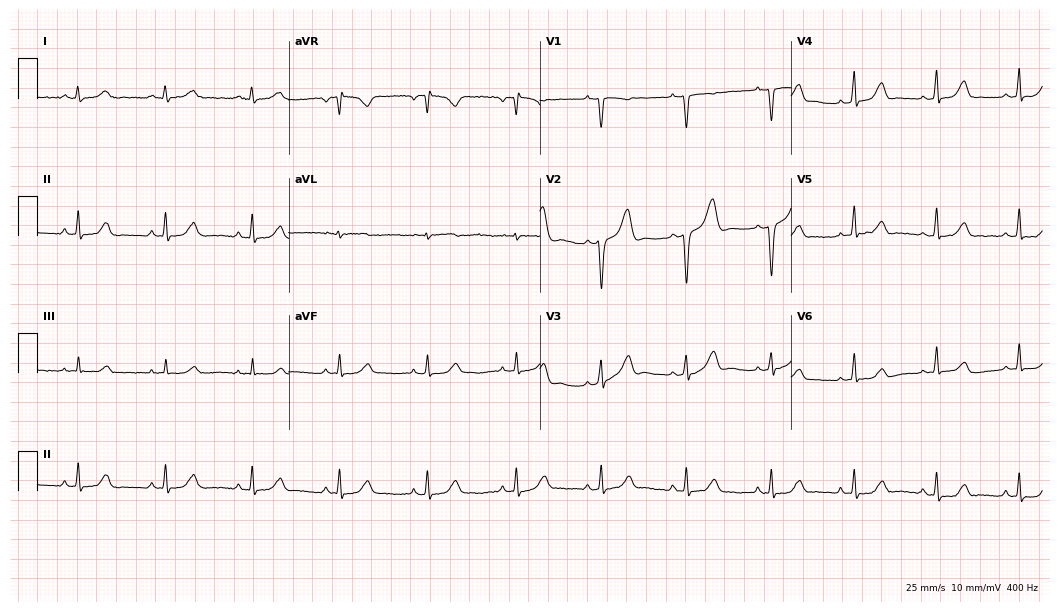
Standard 12-lead ECG recorded from a woman, 37 years old. None of these six findings is recorded: first-degree AV block, right bundle branch block, left bundle branch block, sinus bradycardia, atrial fibrillation, sinus tachycardia.